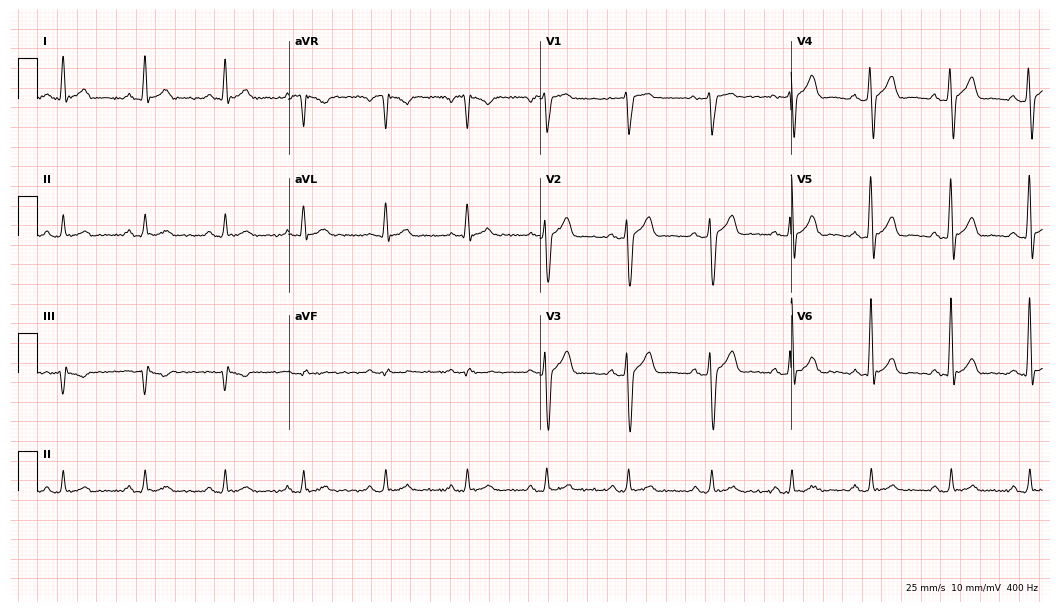
Resting 12-lead electrocardiogram (10.2-second recording at 400 Hz). Patient: a 40-year-old male. Read as a normal ECG.